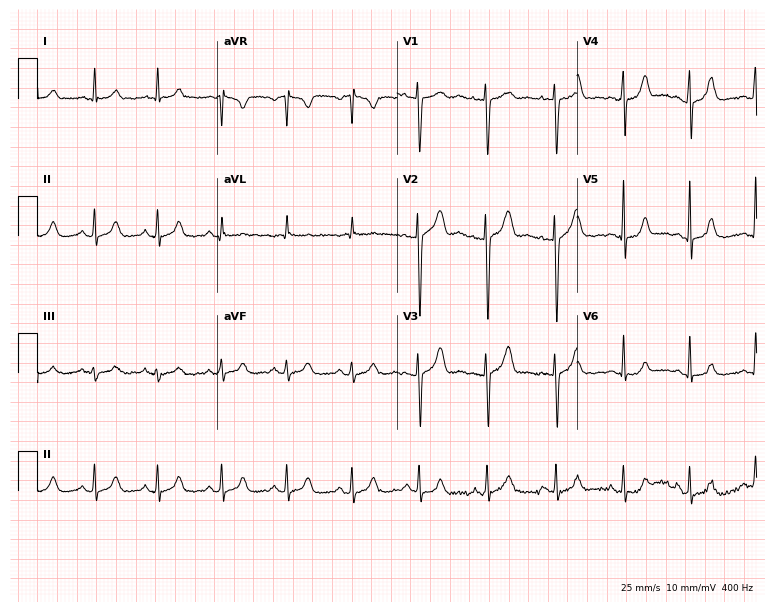
12-lead ECG from a 29-year-old female. Recorded interpretation: within normal limits.